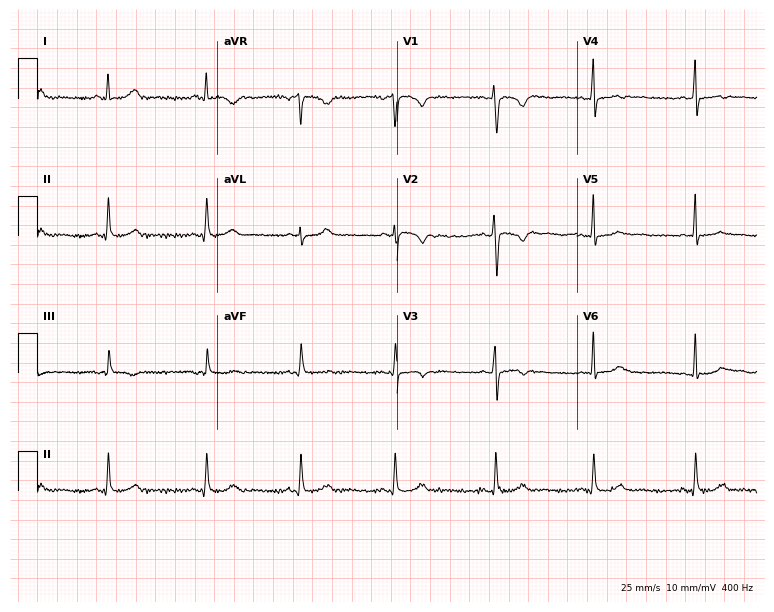
12-lead ECG (7.3-second recording at 400 Hz) from a 24-year-old female patient. Screened for six findings — first-degree AV block, right bundle branch block, left bundle branch block, sinus bradycardia, atrial fibrillation, sinus tachycardia — none is recorded.